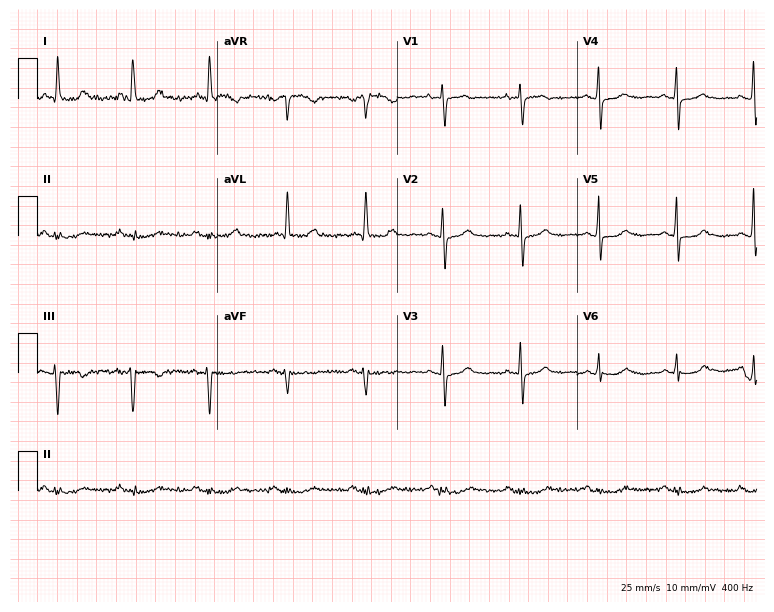
12-lead ECG from a female patient, 76 years old (7.3-second recording at 400 Hz). No first-degree AV block, right bundle branch block (RBBB), left bundle branch block (LBBB), sinus bradycardia, atrial fibrillation (AF) or sinus tachycardia recorded for this tracing.